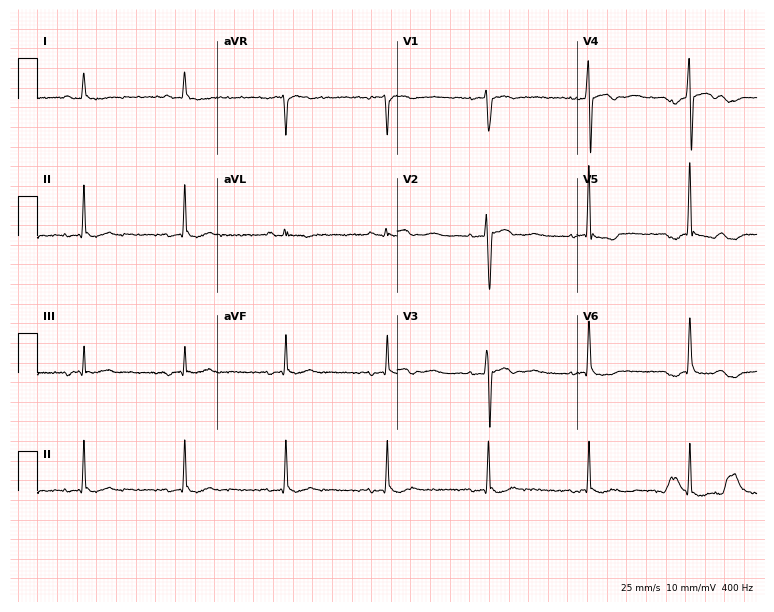
12-lead ECG from a woman, 75 years old. No first-degree AV block, right bundle branch block, left bundle branch block, sinus bradycardia, atrial fibrillation or sinus tachycardia recorded for this tracing. Only these six findings were labelled.